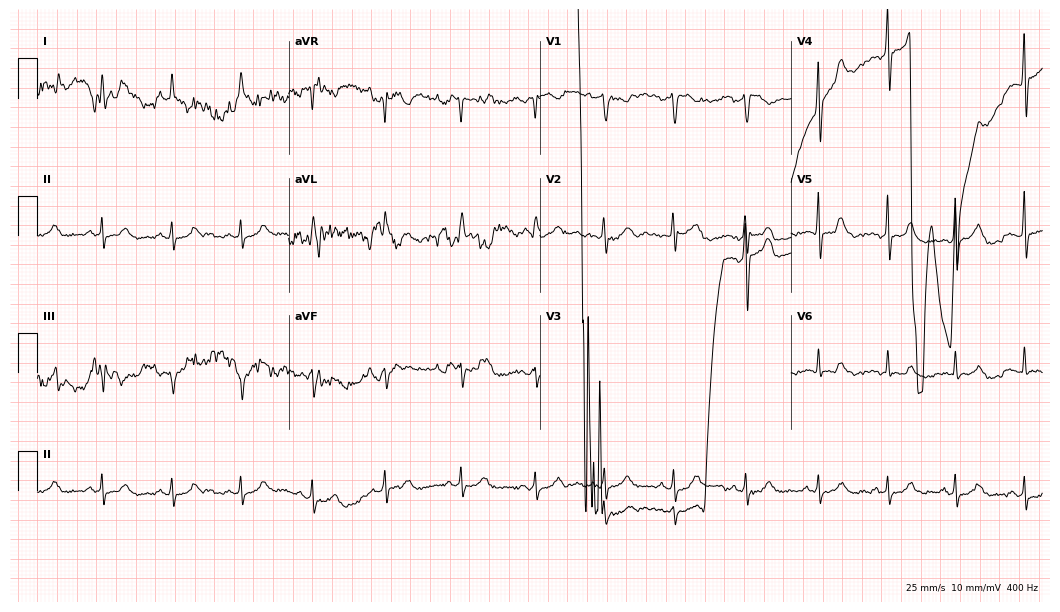
12-lead ECG from a 22-year-old woman. No first-degree AV block, right bundle branch block, left bundle branch block, sinus bradycardia, atrial fibrillation or sinus tachycardia recorded for this tracing.